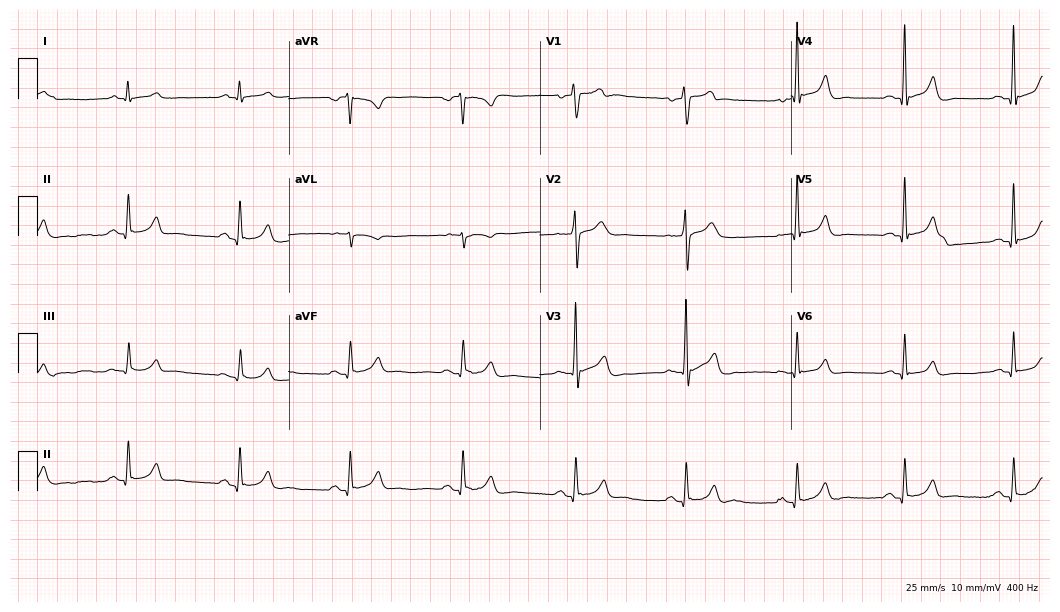
12-lead ECG from a man, 43 years old (10.2-second recording at 400 Hz). No first-degree AV block, right bundle branch block, left bundle branch block, sinus bradycardia, atrial fibrillation or sinus tachycardia recorded for this tracing.